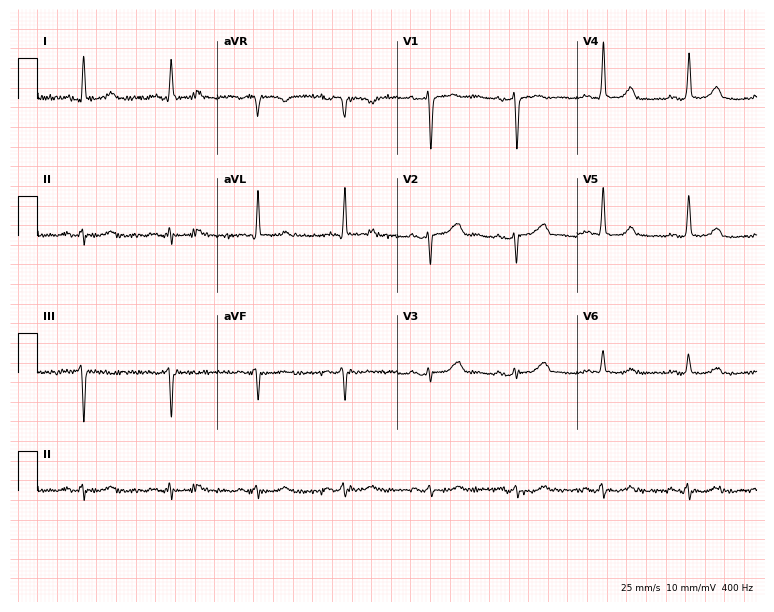
Electrocardiogram (7.3-second recording at 400 Hz), a woman, 78 years old. Of the six screened findings (first-degree AV block, right bundle branch block, left bundle branch block, sinus bradycardia, atrial fibrillation, sinus tachycardia), none is recorded. Findings outside these six are not listed.